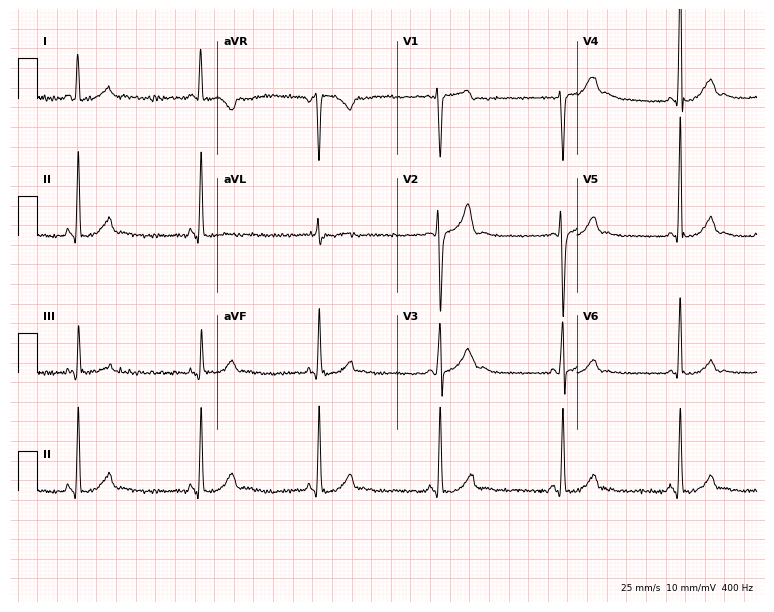
Resting 12-lead electrocardiogram (7.3-second recording at 400 Hz). Patient: a 29-year-old male. None of these six findings is recorded: first-degree AV block, right bundle branch block (RBBB), left bundle branch block (LBBB), sinus bradycardia, atrial fibrillation (AF), sinus tachycardia.